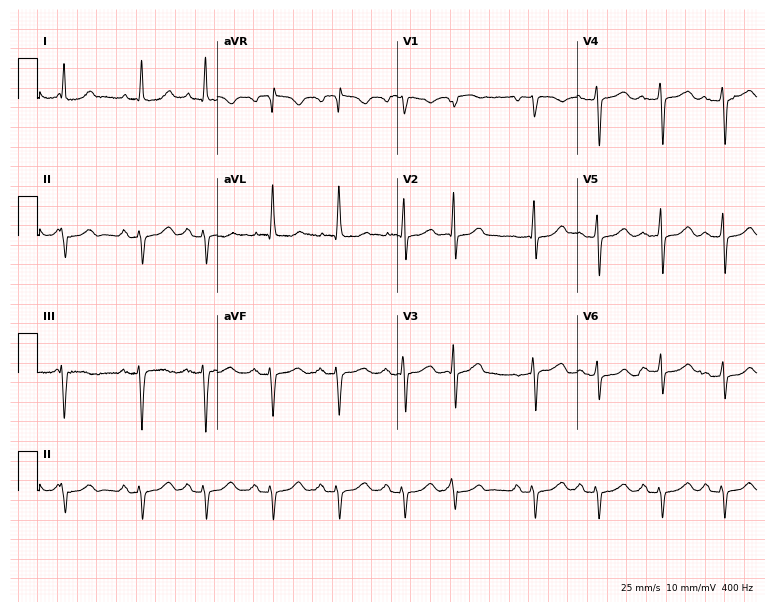
12-lead ECG from a 62-year-old woman. Screened for six findings — first-degree AV block, right bundle branch block, left bundle branch block, sinus bradycardia, atrial fibrillation, sinus tachycardia — none is recorded. Findings outside these six are not listed.